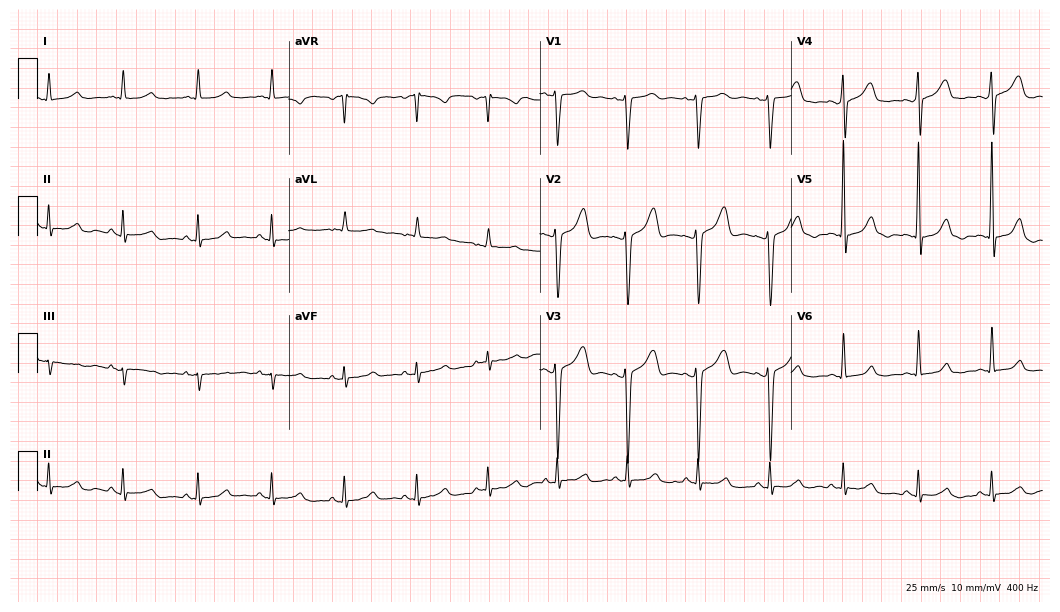
12-lead ECG from a male, 31 years old (10.2-second recording at 400 Hz). Recorded interpretation: within normal limits.